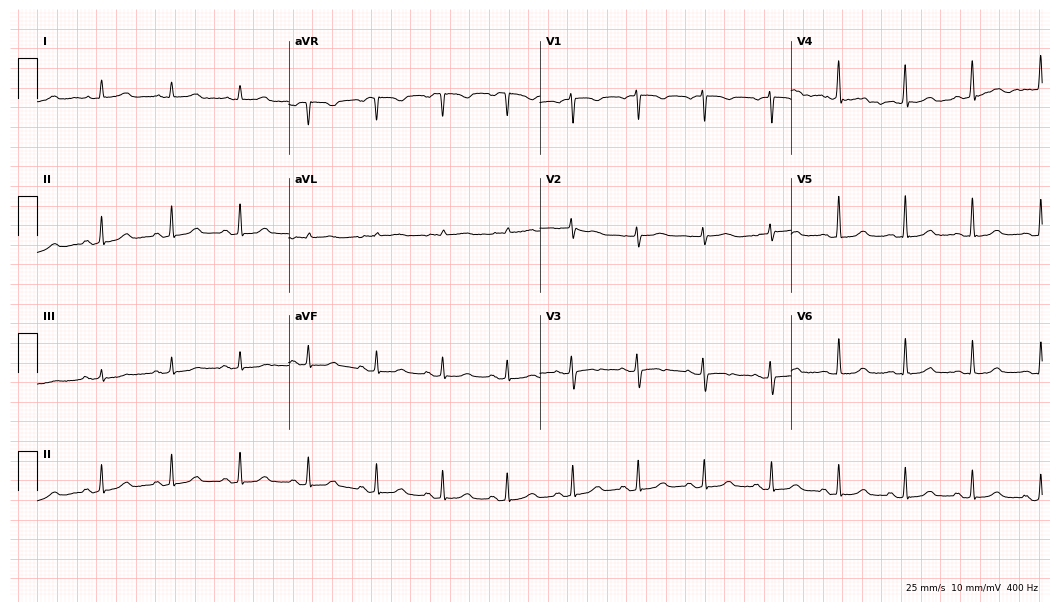
12-lead ECG from a female, 69 years old. Recorded interpretation: within normal limits.